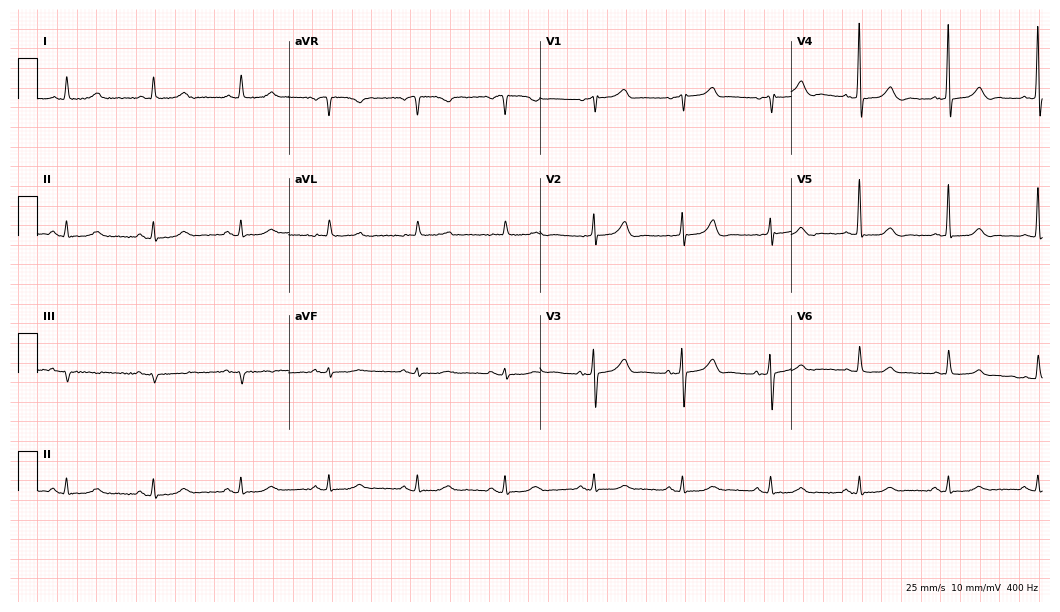
Electrocardiogram (10.2-second recording at 400 Hz), a female patient, 81 years old. Overall reading on record: normal ECG.